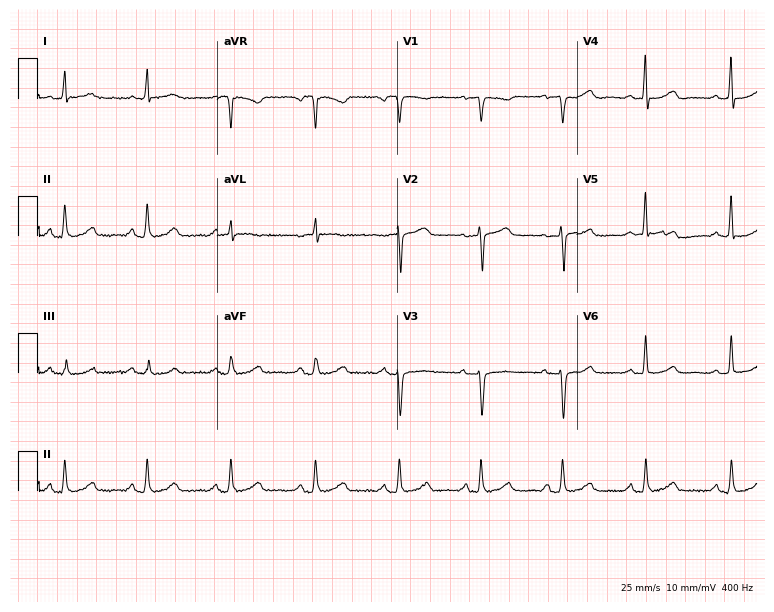
Resting 12-lead electrocardiogram (7.3-second recording at 400 Hz). Patient: a 51-year-old woman. Read as a normal ECG.